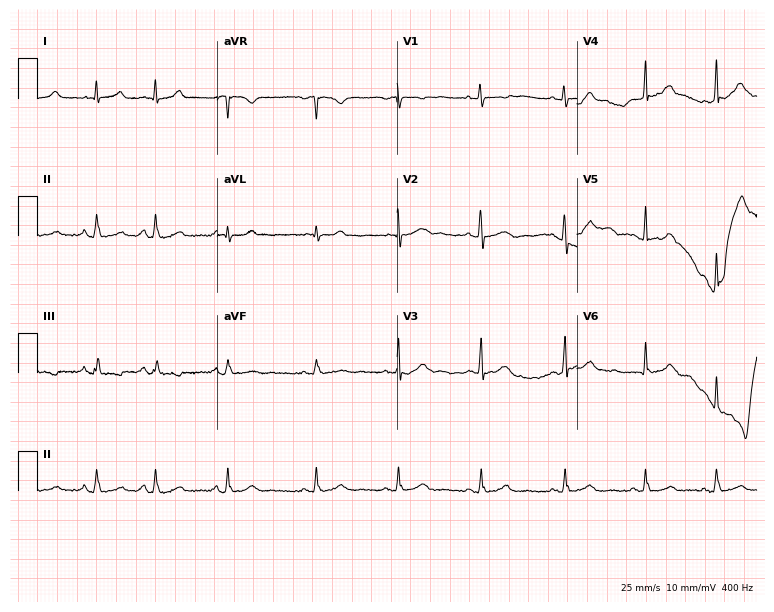
12-lead ECG from a 20-year-old female. Labelled as a normal ECG.